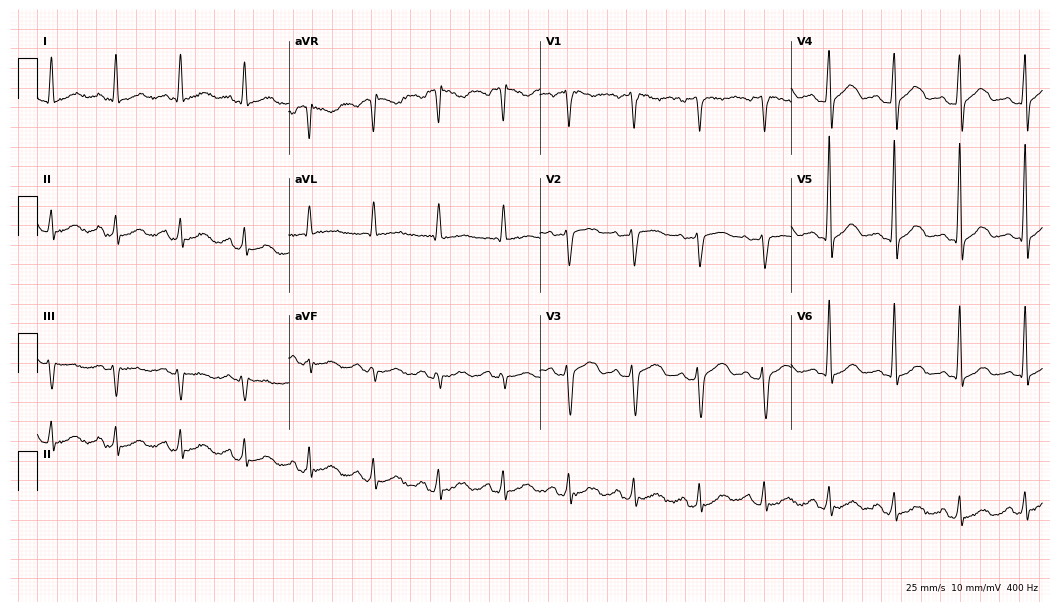
12-lead ECG from a 68-year-old woman. Recorded interpretation: within normal limits.